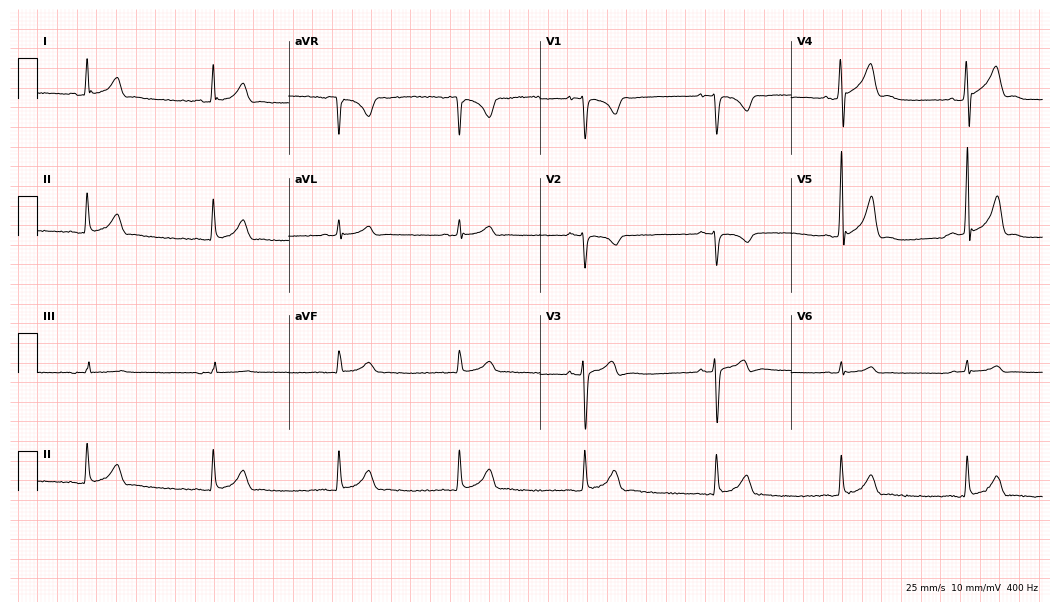
Standard 12-lead ECG recorded from a 28-year-old male. The tracing shows sinus bradycardia (a sinus rate of 50 beats per minute or less).